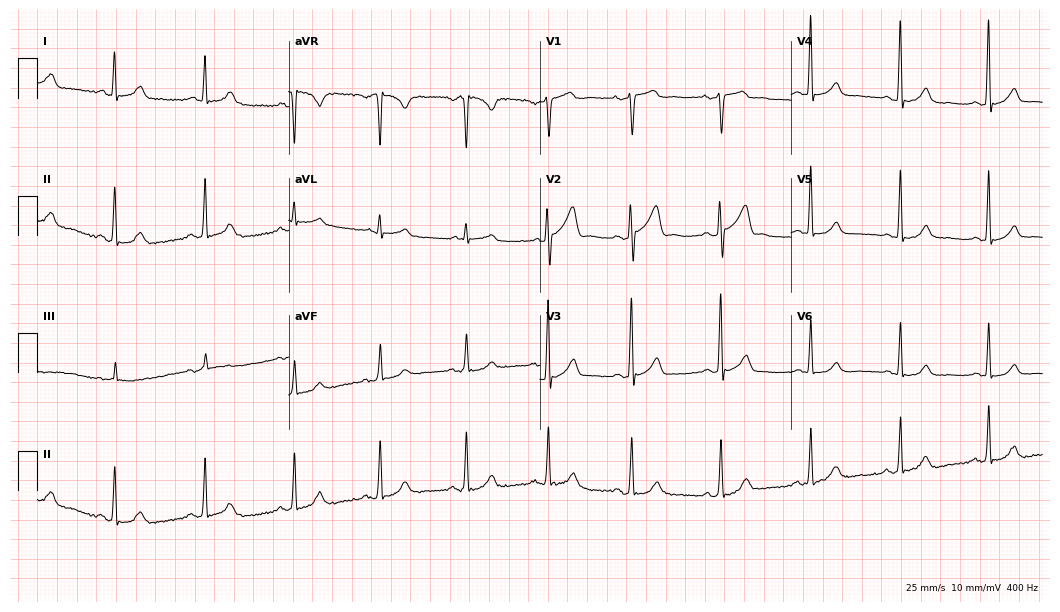
Resting 12-lead electrocardiogram. Patient: a male, 49 years old. Read as a normal ECG.